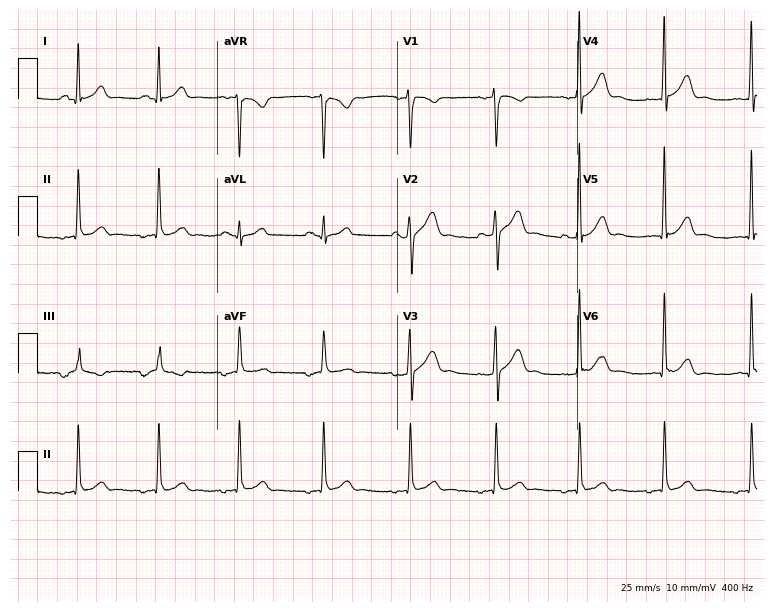
Resting 12-lead electrocardiogram (7.3-second recording at 400 Hz). Patient: a male, 42 years old. None of these six findings is recorded: first-degree AV block, right bundle branch block, left bundle branch block, sinus bradycardia, atrial fibrillation, sinus tachycardia.